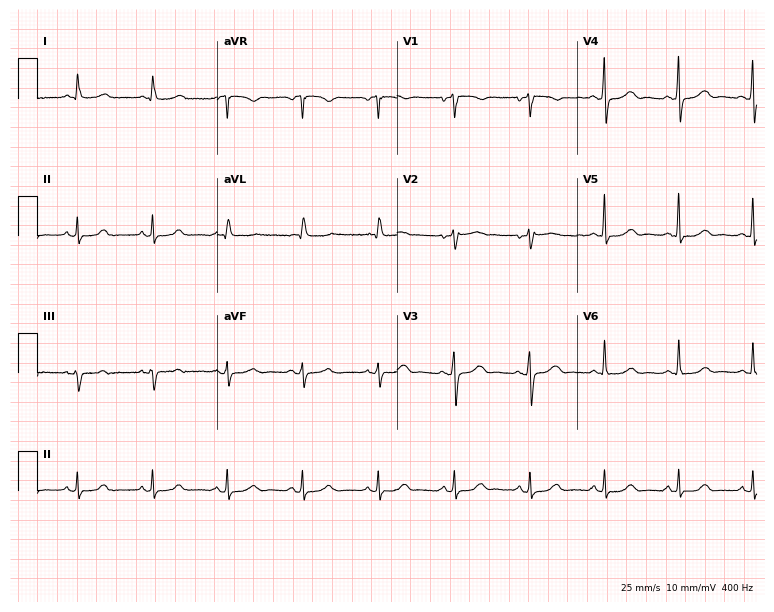
ECG — a female, 67 years old. Labelled as a normal ECG.